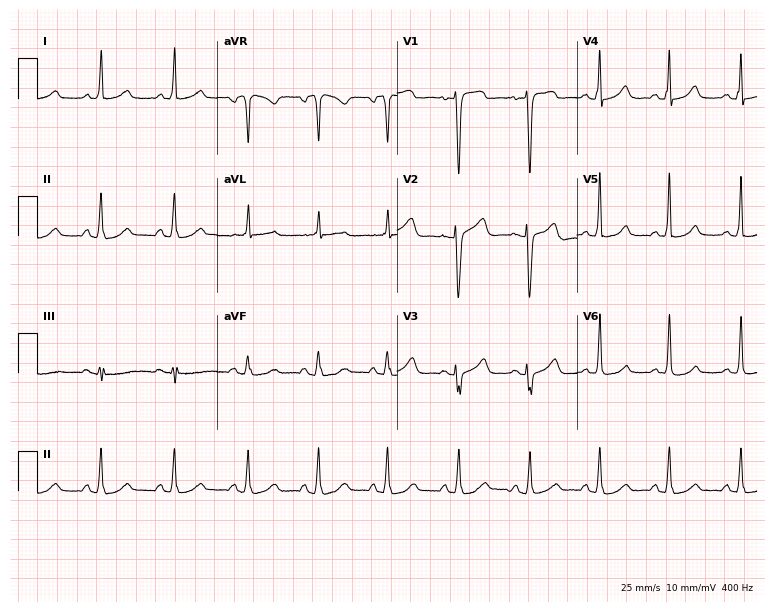
12-lead ECG (7.3-second recording at 400 Hz) from a female, 56 years old. Labelled as a normal ECG.